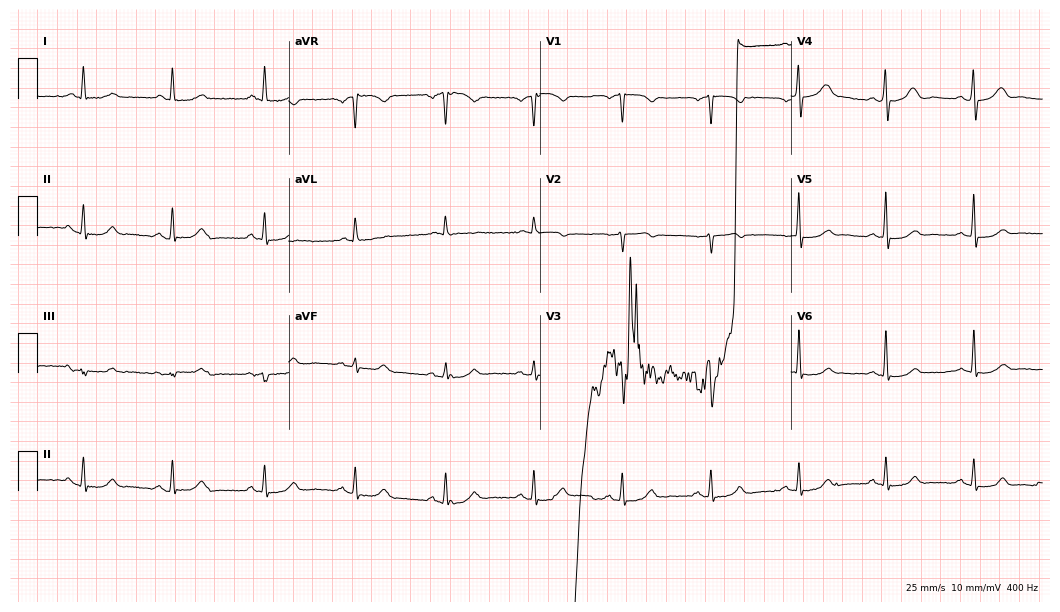
Standard 12-lead ECG recorded from a female, 48 years old (10.2-second recording at 400 Hz). None of these six findings is recorded: first-degree AV block, right bundle branch block, left bundle branch block, sinus bradycardia, atrial fibrillation, sinus tachycardia. Findings outside these six are not listed.